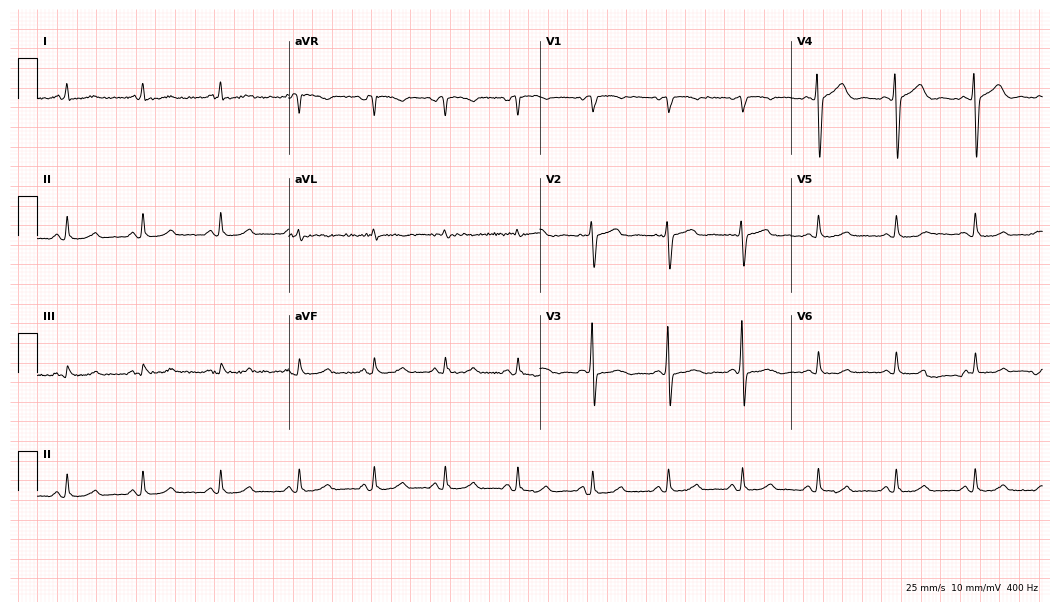
Electrocardiogram (10.2-second recording at 400 Hz), a female, 42 years old. Of the six screened findings (first-degree AV block, right bundle branch block (RBBB), left bundle branch block (LBBB), sinus bradycardia, atrial fibrillation (AF), sinus tachycardia), none is recorded. Only these six findings were labelled.